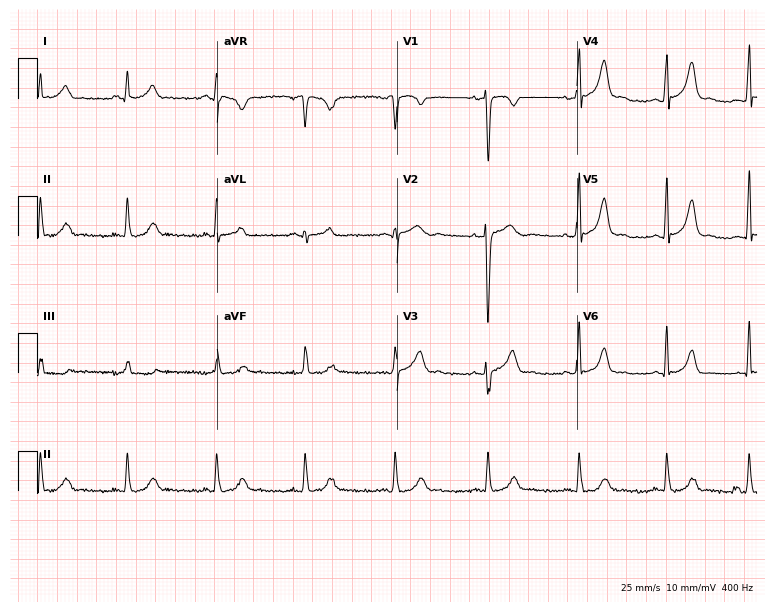
Electrocardiogram (7.3-second recording at 400 Hz), a 33-year-old man. Of the six screened findings (first-degree AV block, right bundle branch block, left bundle branch block, sinus bradycardia, atrial fibrillation, sinus tachycardia), none is recorded.